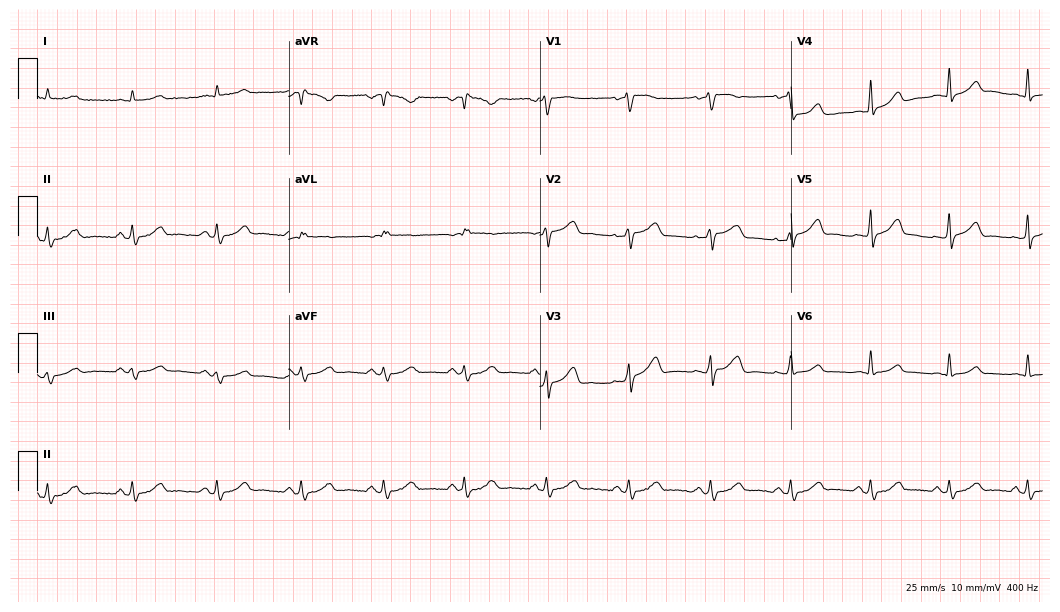
Electrocardiogram (10.2-second recording at 400 Hz), a 49-year-old male patient. Of the six screened findings (first-degree AV block, right bundle branch block, left bundle branch block, sinus bradycardia, atrial fibrillation, sinus tachycardia), none is recorded. Only these six findings were labelled.